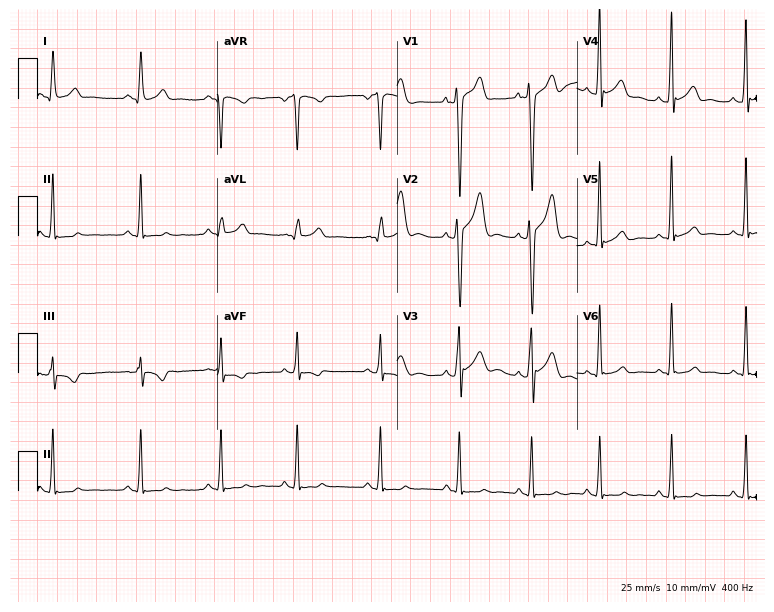
ECG (7.3-second recording at 400 Hz) — a 29-year-old male. Screened for six findings — first-degree AV block, right bundle branch block, left bundle branch block, sinus bradycardia, atrial fibrillation, sinus tachycardia — none is recorded.